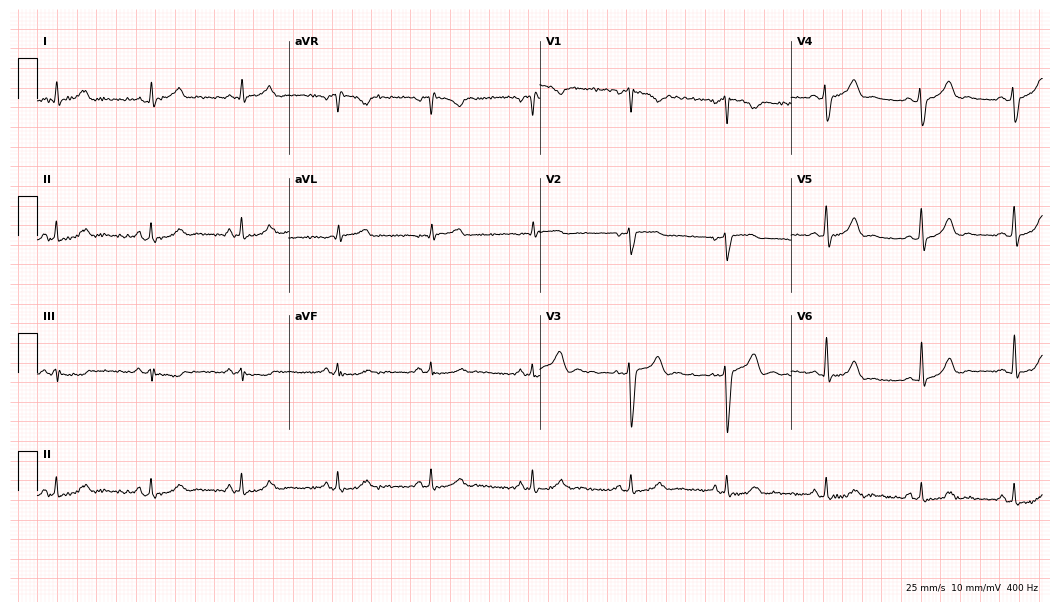
Electrocardiogram (10.2-second recording at 400 Hz), a male patient, 36 years old. Overall reading on record: normal ECG.